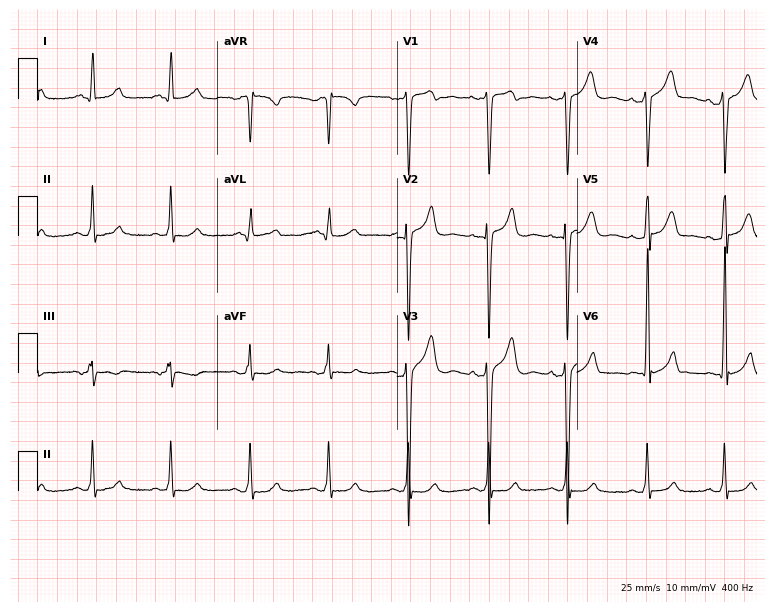
12-lead ECG from a 31-year-old male patient. Recorded interpretation: within normal limits.